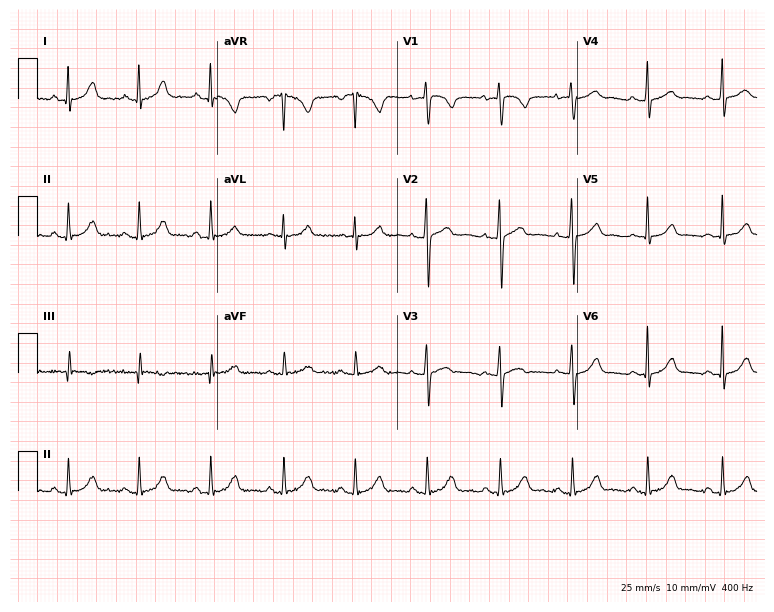
Resting 12-lead electrocardiogram (7.3-second recording at 400 Hz). Patient: a female, 30 years old. Read as a normal ECG.